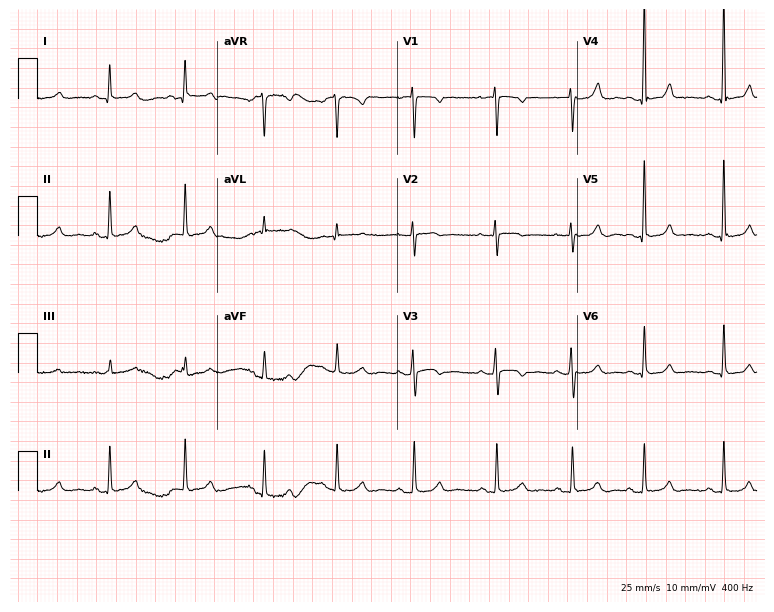
ECG — a woman, 29 years old. Labelled as a normal ECG.